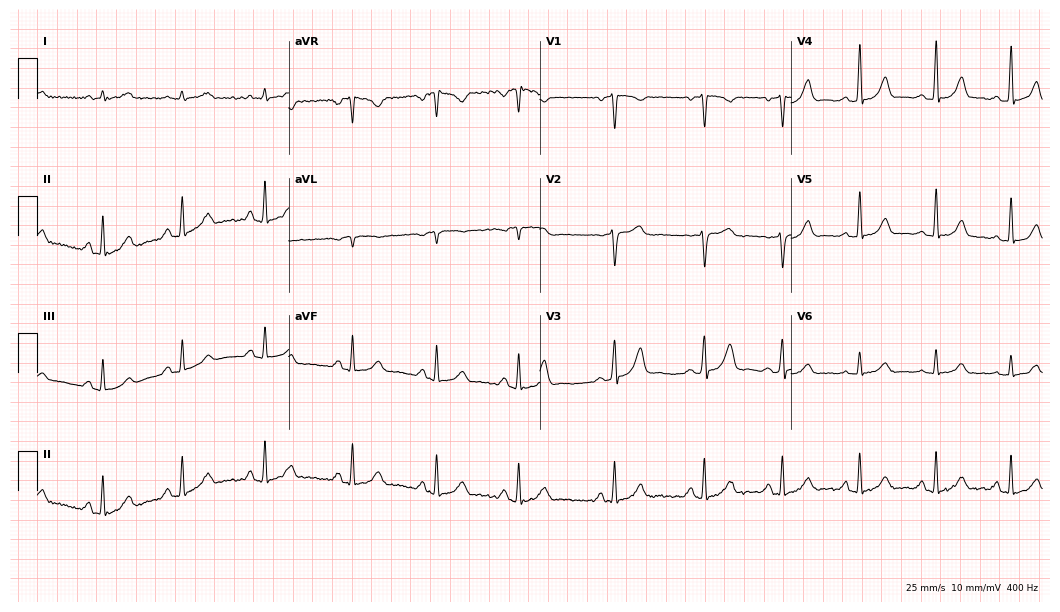
Resting 12-lead electrocardiogram. Patient: a female, 27 years old. None of these six findings is recorded: first-degree AV block, right bundle branch block, left bundle branch block, sinus bradycardia, atrial fibrillation, sinus tachycardia.